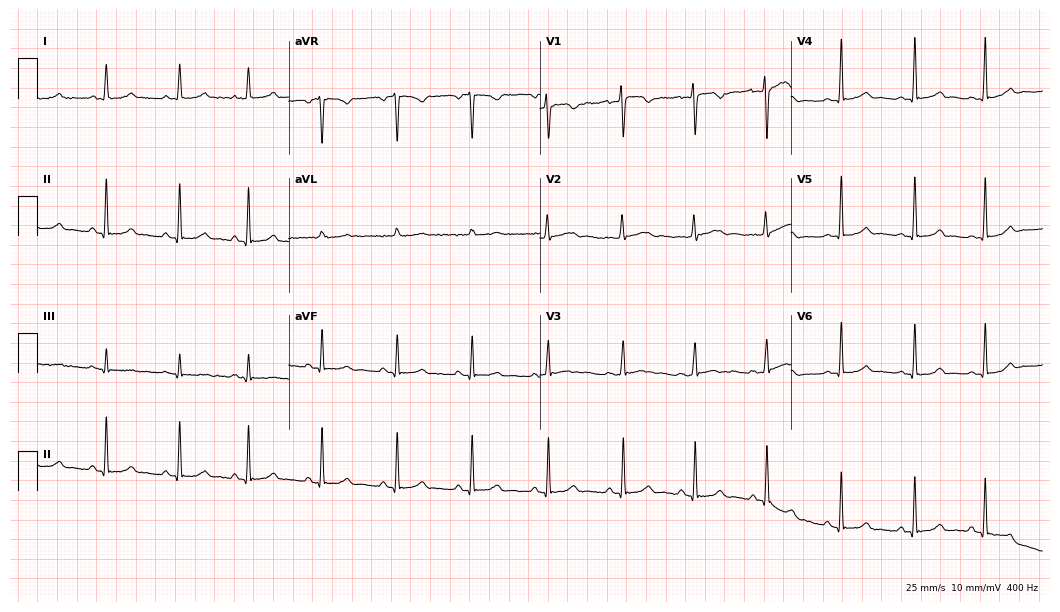
12-lead ECG from a 25-year-old woman. Labelled as a normal ECG.